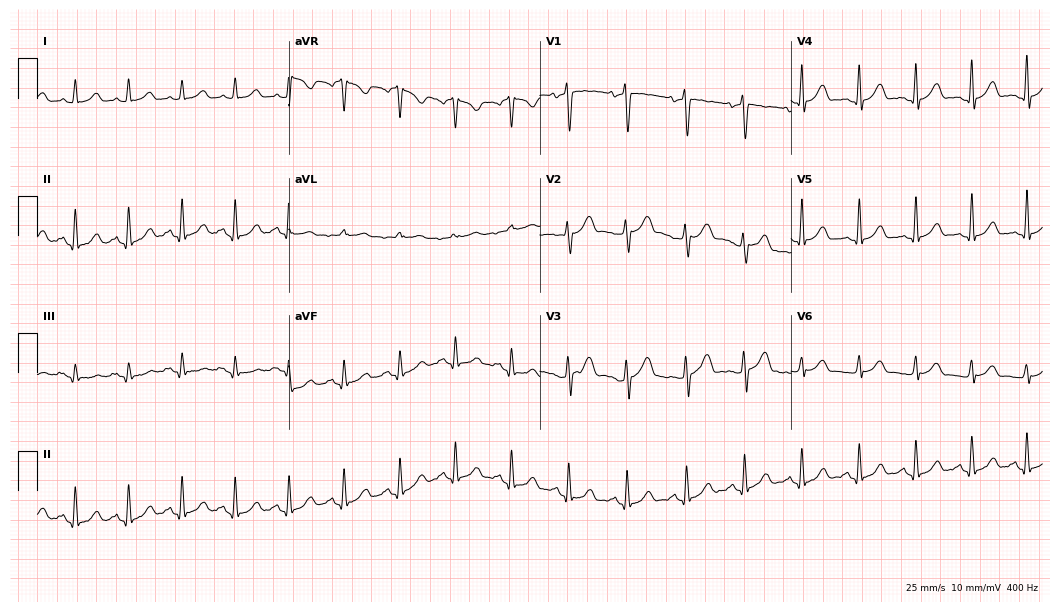
Standard 12-lead ECG recorded from a 27-year-old male. Read as a normal ECG.